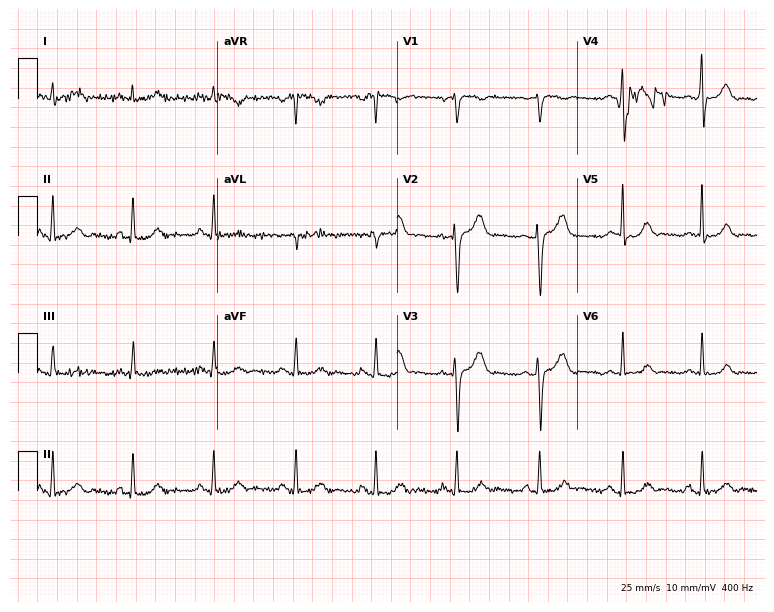
ECG — a woman, 26 years old. Screened for six findings — first-degree AV block, right bundle branch block, left bundle branch block, sinus bradycardia, atrial fibrillation, sinus tachycardia — none is recorded. Only these six findings were labelled.